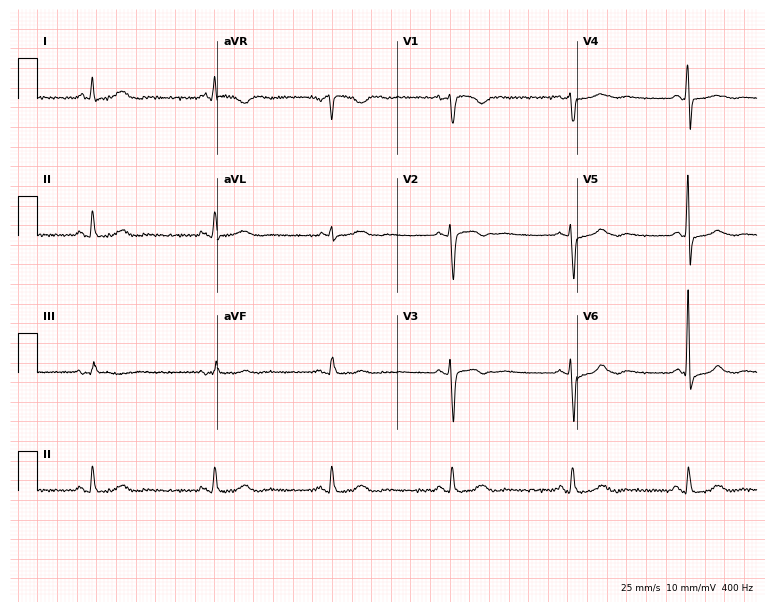
12-lead ECG from a female, 48 years old. Findings include sinus bradycardia (a sinus rate of 50 beats per minute or less).